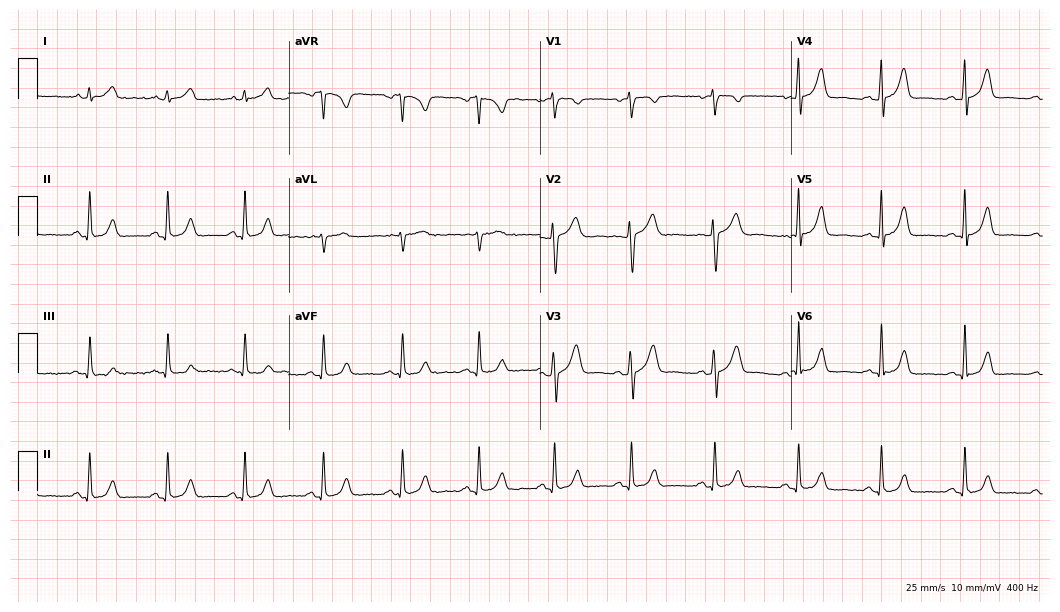
12-lead ECG from a 31-year-old woman. Labelled as a normal ECG.